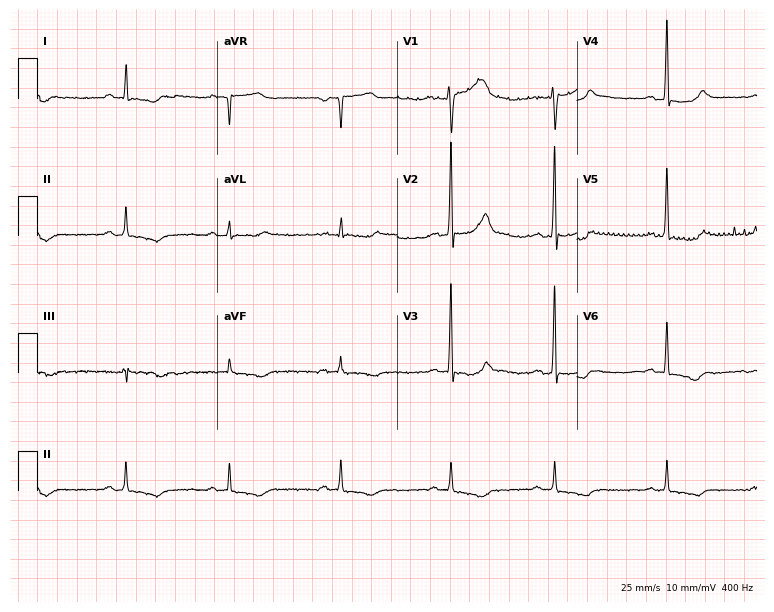
Resting 12-lead electrocardiogram. Patient: a 65-year-old male. None of these six findings is recorded: first-degree AV block, right bundle branch block, left bundle branch block, sinus bradycardia, atrial fibrillation, sinus tachycardia. Findings outside these six are not listed.